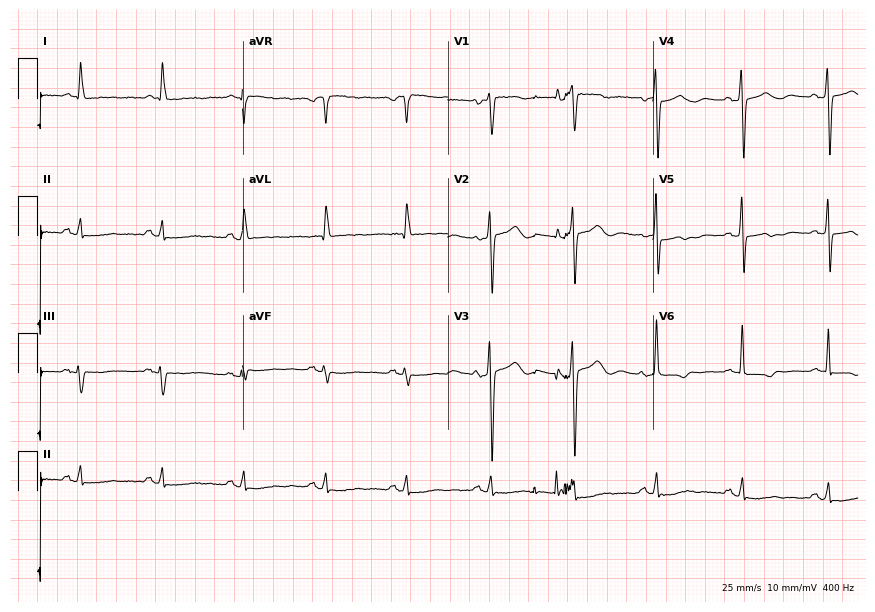
12-lead ECG from a female patient, 63 years old. No first-degree AV block, right bundle branch block, left bundle branch block, sinus bradycardia, atrial fibrillation or sinus tachycardia recorded for this tracing.